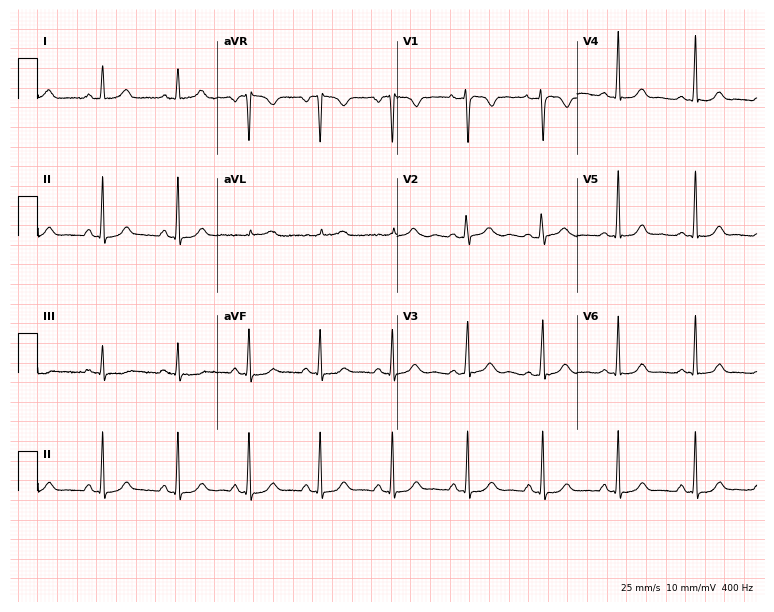
12-lead ECG from a 26-year-old female. Screened for six findings — first-degree AV block, right bundle branch block (RBBB), left bundle branch block (LBBB), sinus bradycardia, atrial fibrillation (AF), sinus tachycardia — none is recorded. Other findings, if any, are not listed.